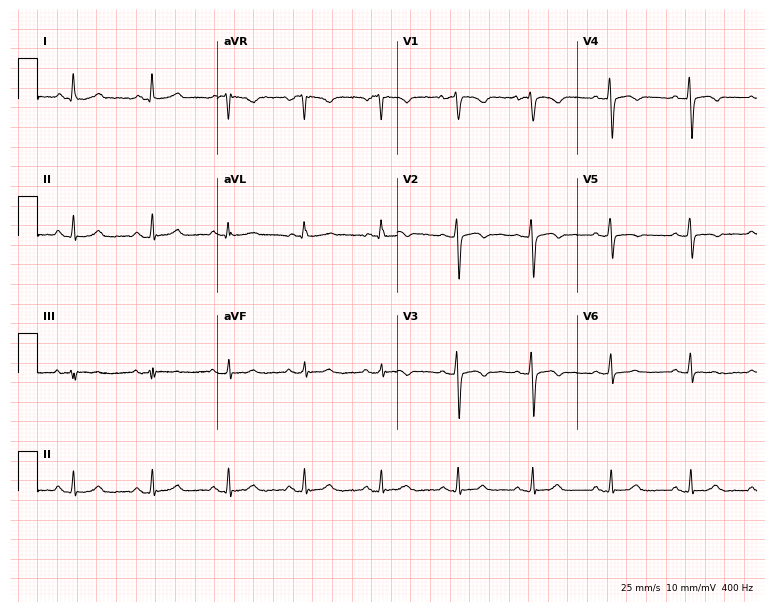
ECG (7.3-second recording at 400 Hz) — a 48-year-old female patient. Screened for six findings — first-degree AV block, right bundle branch block, left bundle branch block, sinus bradycardia, atrial fibrillation, sinus tachycardia — none is recorded. Only these six findings were labelled.